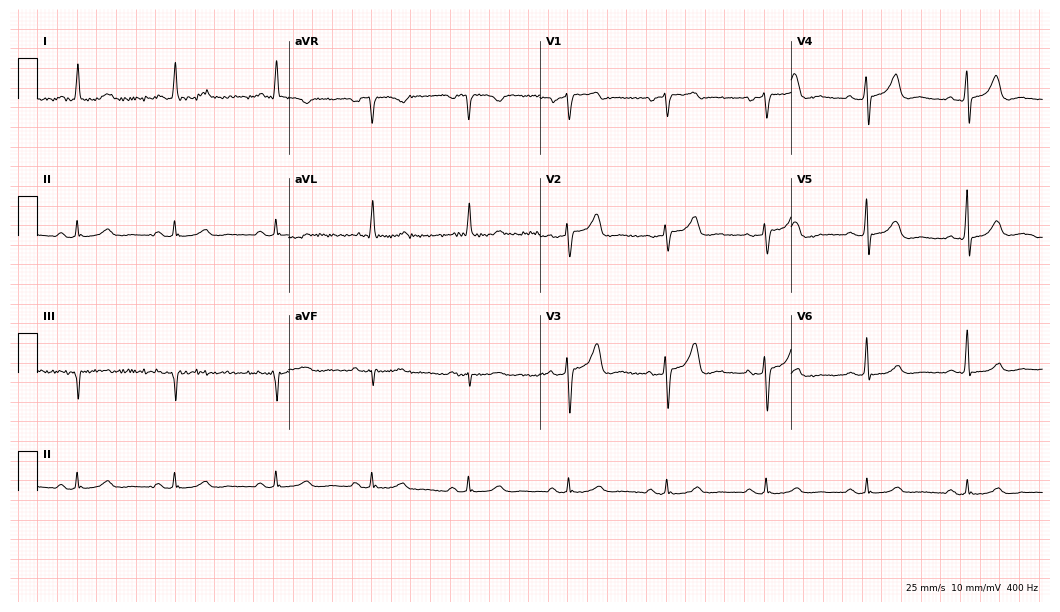
12-lead ECG (10.2-second recording at 400 Hz) from a 67-year-old female patient. Labelled as a normal ECG.